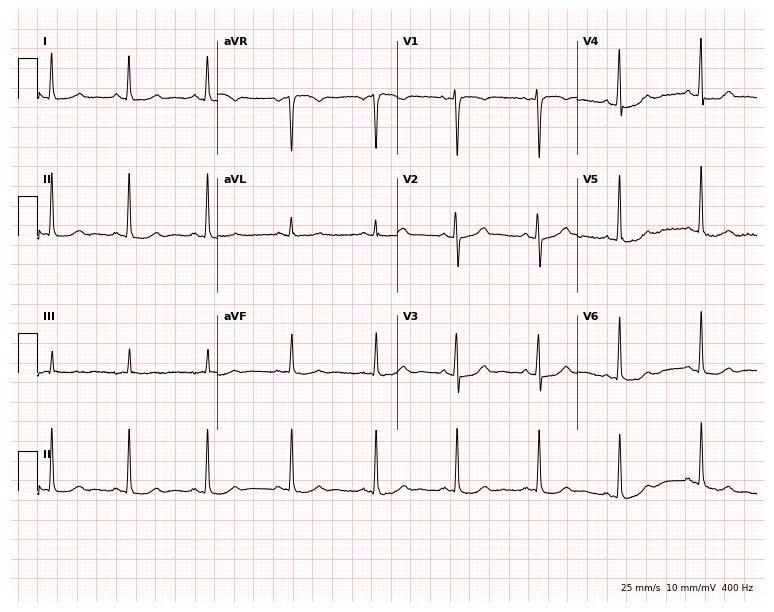
Resting 12-lead electrocardiogram. Patient: a 40-year-old female. None of these six findings is recorded: first-degree AV block, right bundle branch block, left bundle branch block, sinus bradycardia, atrial fibrillation, sinus tachycardia. Only these six findings were labelled.